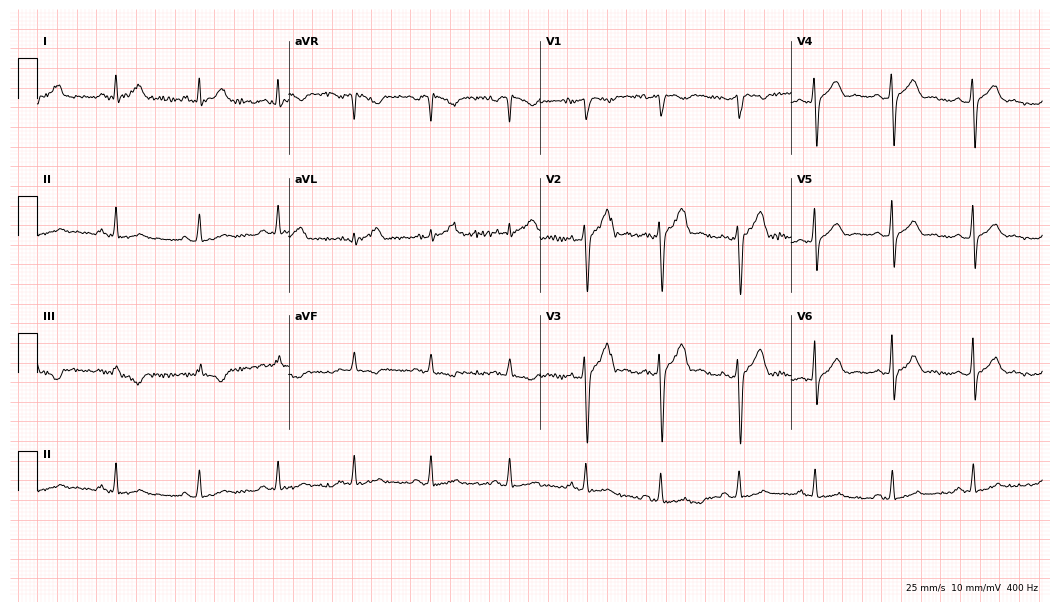
Resting 12-lead electrocardiogram. Patient: a man, 41 years old. Read as a normal ECG.